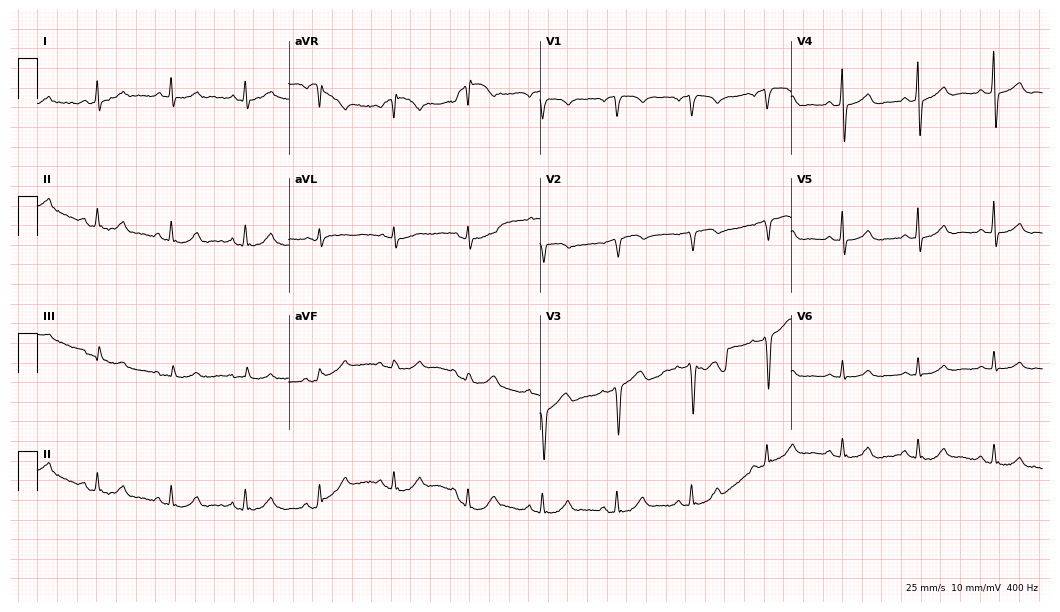
ECG — a male patient, 72 years old. Labelled as a normal ECG.